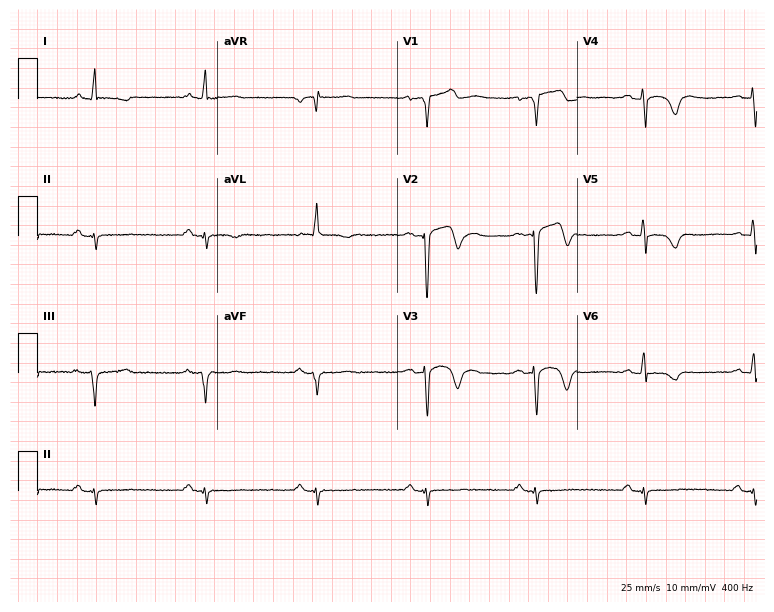
12-lead ECG (7.3-second recording at 400 Hz) from a 73-year-old male. Screened for six findings — first-degree AV block, right bundle branch block, left bundle branch block, sinus bradycardia, atrial fibrillation, sinus tachycardia — none is recorded.